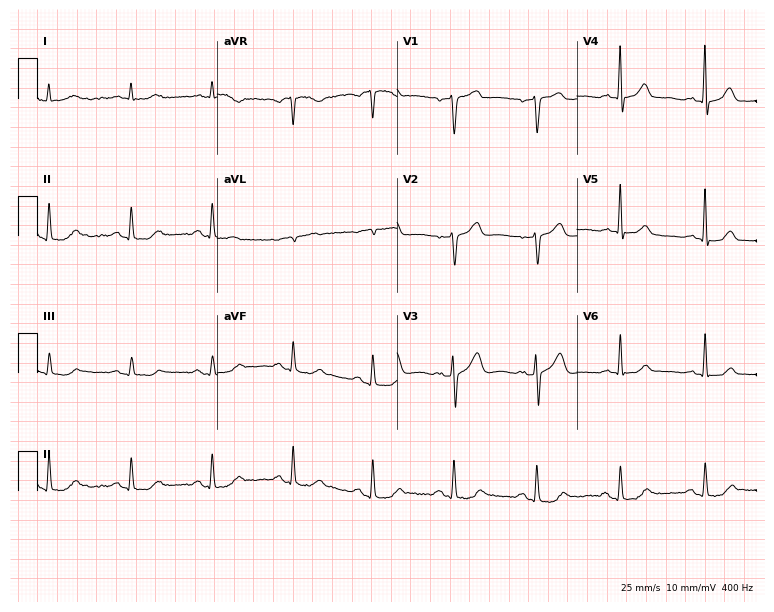
Electrocardiogram (7.3-second recording at 400 Hz), a 66-year-old male patient. Of the six screened findings (first-degree AV block, right bundle branch block, left bundle branch block, sinus bradycardia, atrial fibrillation, sinus tachycardia), none is recorded. Other findings, if any, are not listed.